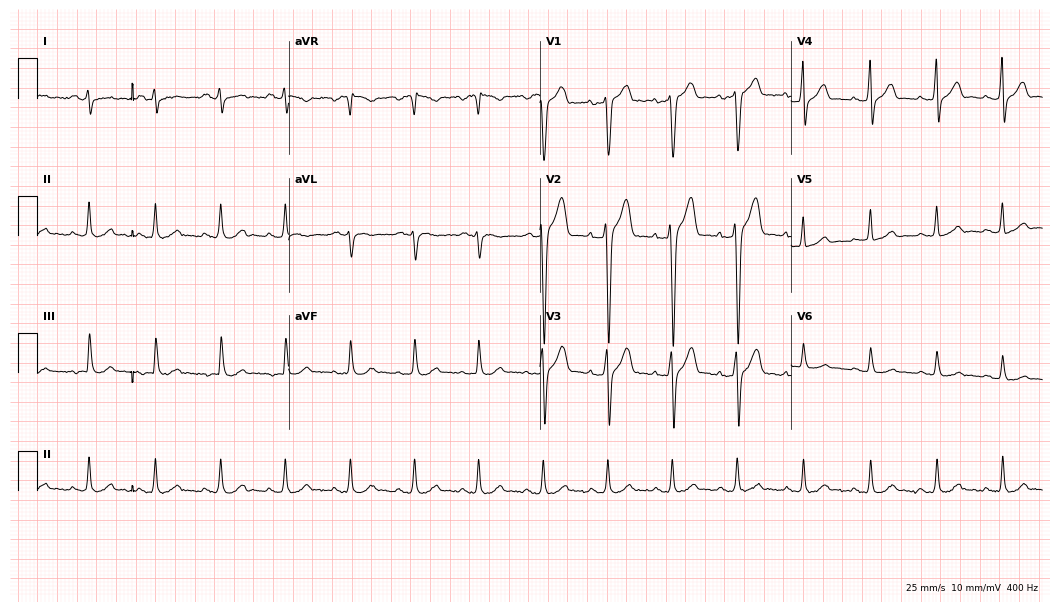
12-lead ECG from a male patient, 40 years old. No first-degree AV block, right bundle branch block, left bundle branch block, sinus bradycardia, atrial fibrillation or sinus tachycardia recorded for this tracing. Findings outside these six are not listed.